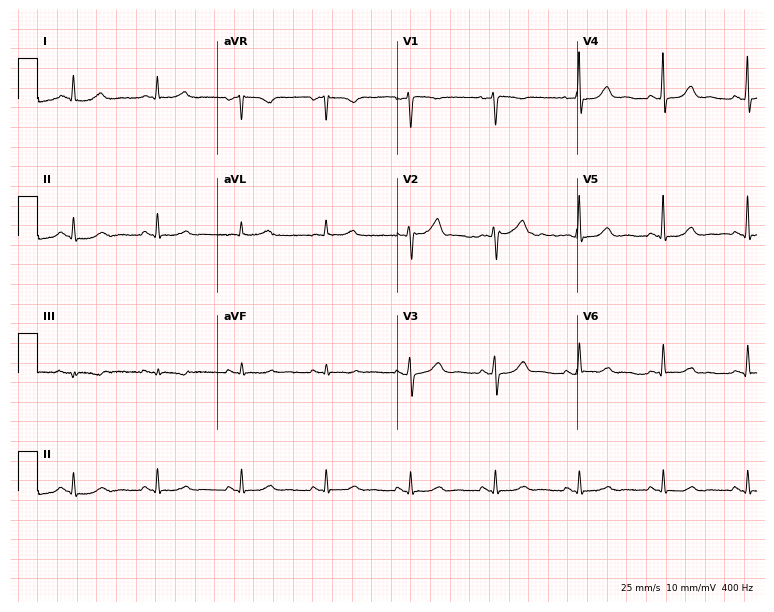
ECG (7.3-second recording at 400 Hz) — a 74-year-old male. Labelled as a normal ECG.